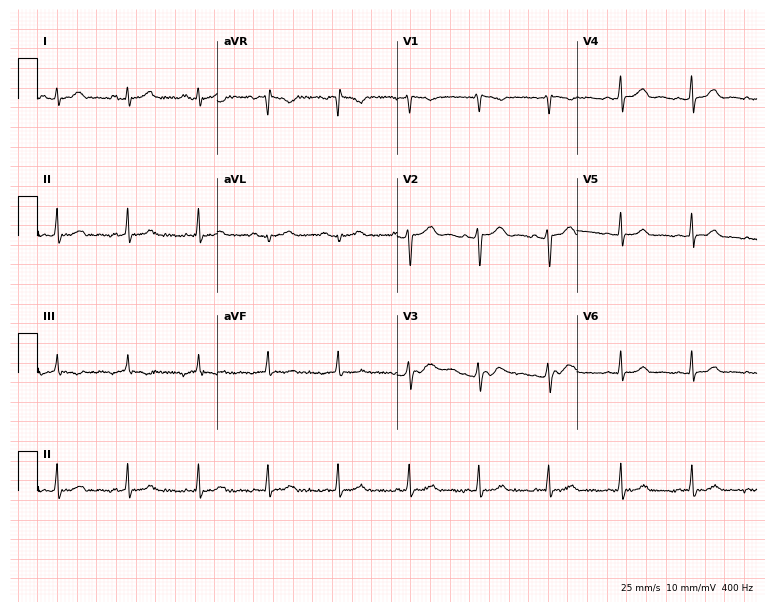
Standard 12-lead ECG recorded from a woman, 19 years old. None of these six findings is recorded: first-degree AV block, right bundle branch block (RBBB), left bundle branch block (LBBB), sinus bradycardia, atrial fibrillation (AF), sinus tachycardia.